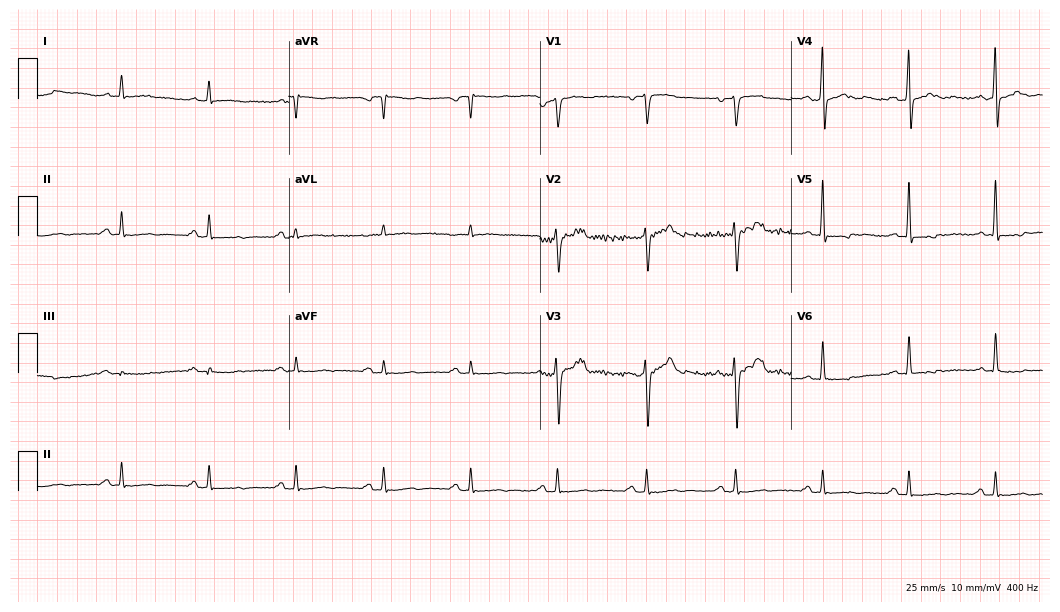
Resting 12-lead electrocardiogram. Patient: a 62-year-old male. None of these six findings is recorded: first-degree AV block, right bundle branch block, left bundle branch block, sinus bradycardia, atrial fibrillation, sinus tachycardia.